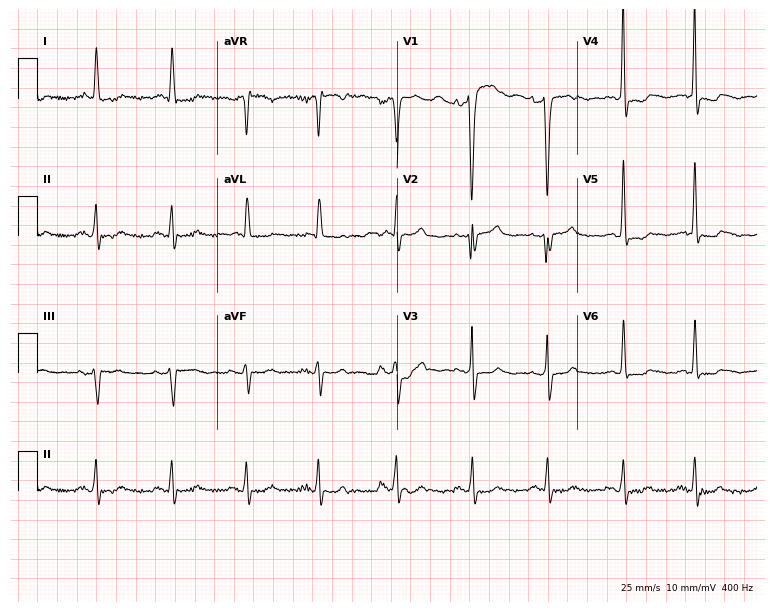
Electrocardiogram, a female patient, 70 years old. Of the six screened findings (first-degree AV block, right bundle branch block (RBBB), left bundle branch block (LBBB), sinus bradycardia, atrial fibrillation (AF), sinus tachycardia), none is recorded. Findings outside these six are not listed.